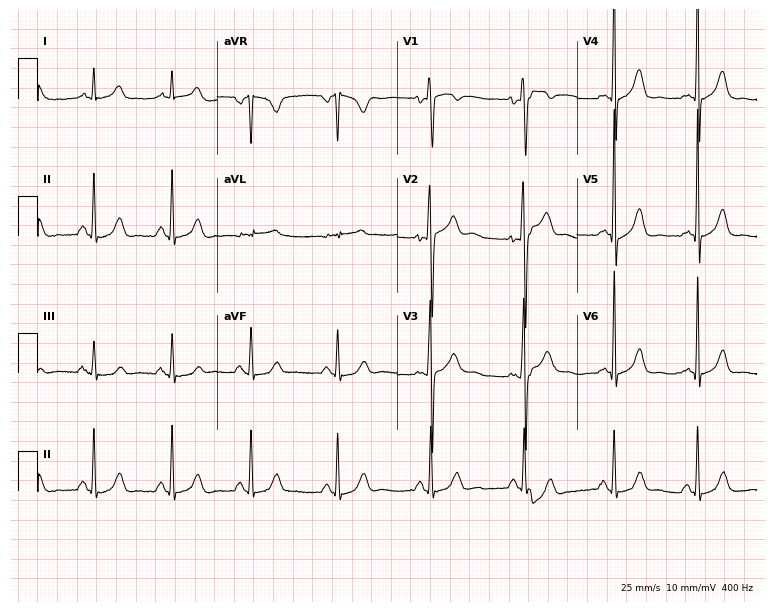
Standard 12-lead ECG recorded from a male, 36 years old. None of these six findings is recorded: first-degree AV block, right bundle branch block, left bundle branch block, sinus bradycardia, atrial fibrillation, sinus tachycardia.